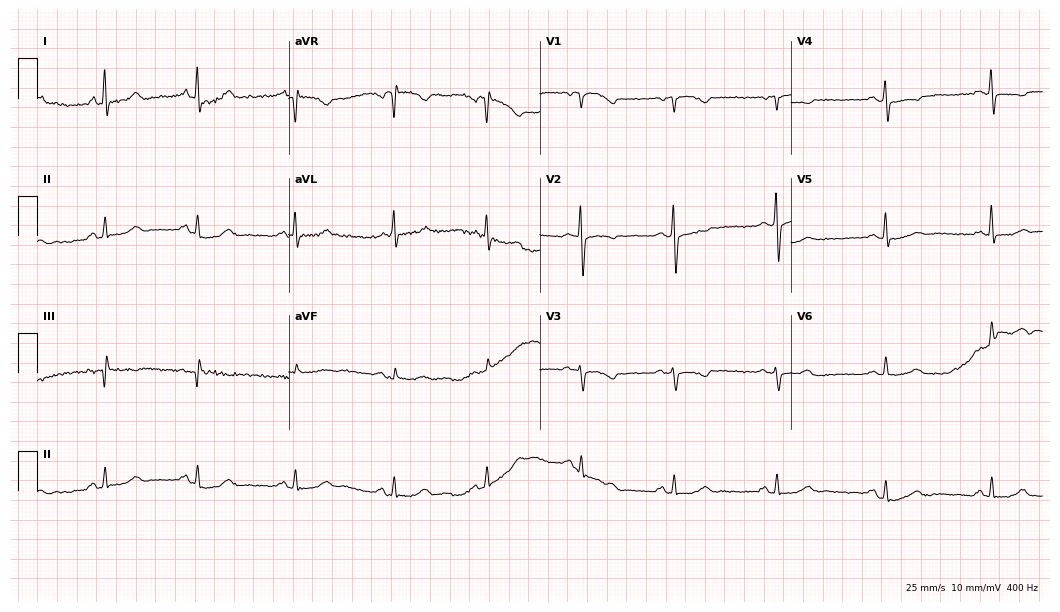
ECG — a female patient, 58 years old. Labelled as a normal ECG.